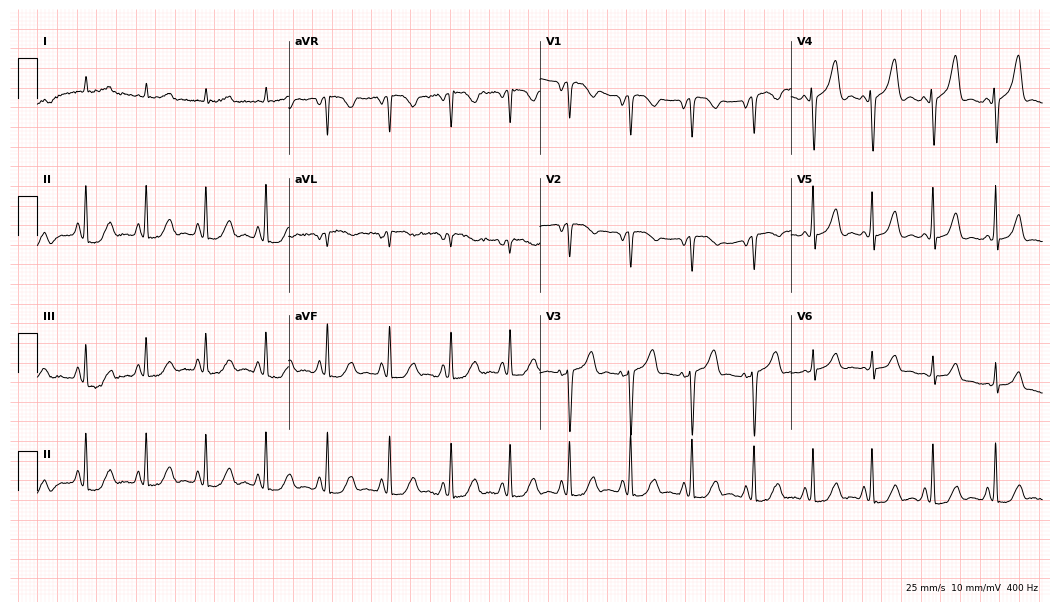
Standard 12-lead ECG recorded from a female patient, 84 years old. None of these six findings is recorded: first-degree AV block, right bundle branch block, left bundle branch block, sinus bradycardia, atrial fibrillation, sinus tachycardia.